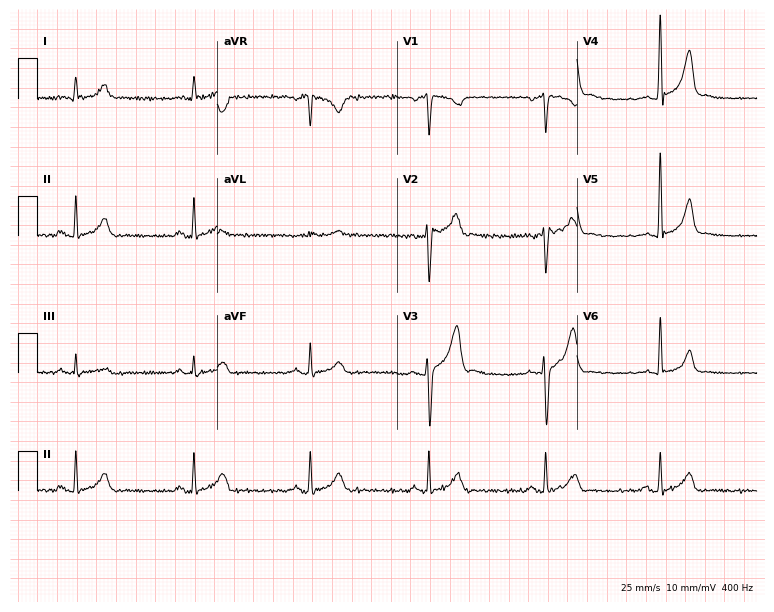
12-lead ECG from a 44-year-old male patient. Screened for six findings — first-degree AV block, right bundle branch block (RBBB), left bundle branch block (LBBB), sinus bradycardia, atrial fibrillation (AF), sinus tachycardia — none is recorded. Findings outside these six are not listed.